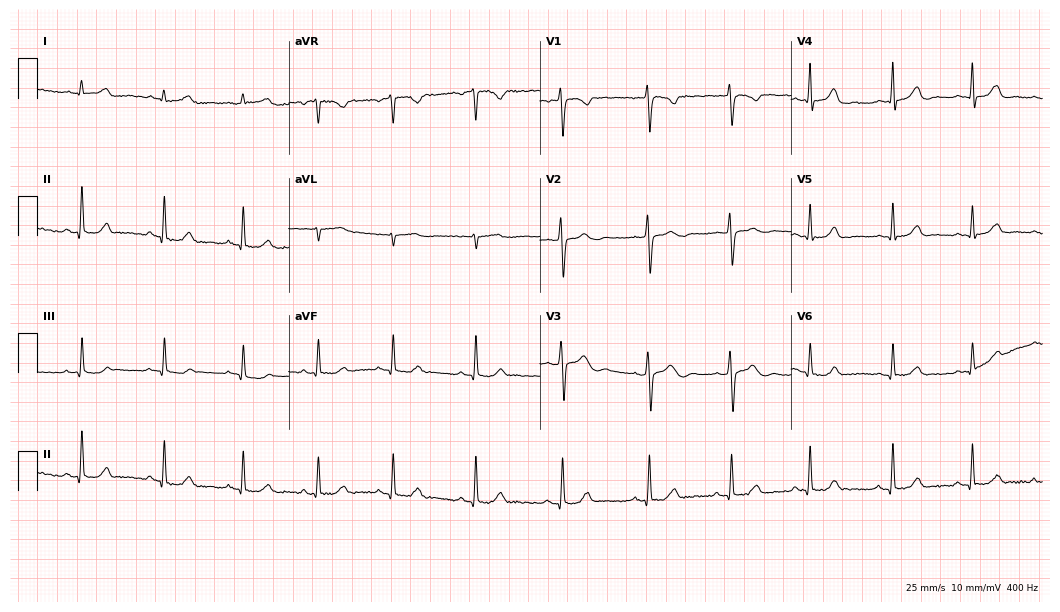
Electrocardiogram, a female patient, 22 years old. Of the six screened findings (first-degree AV block, right bundle branch block (RBBB), left bundle branch block (LBBB), sinus bradycardia, atrial fibrillation (AF), sinus tachycardia), none is recorded. Other findings, if any, are not listed.